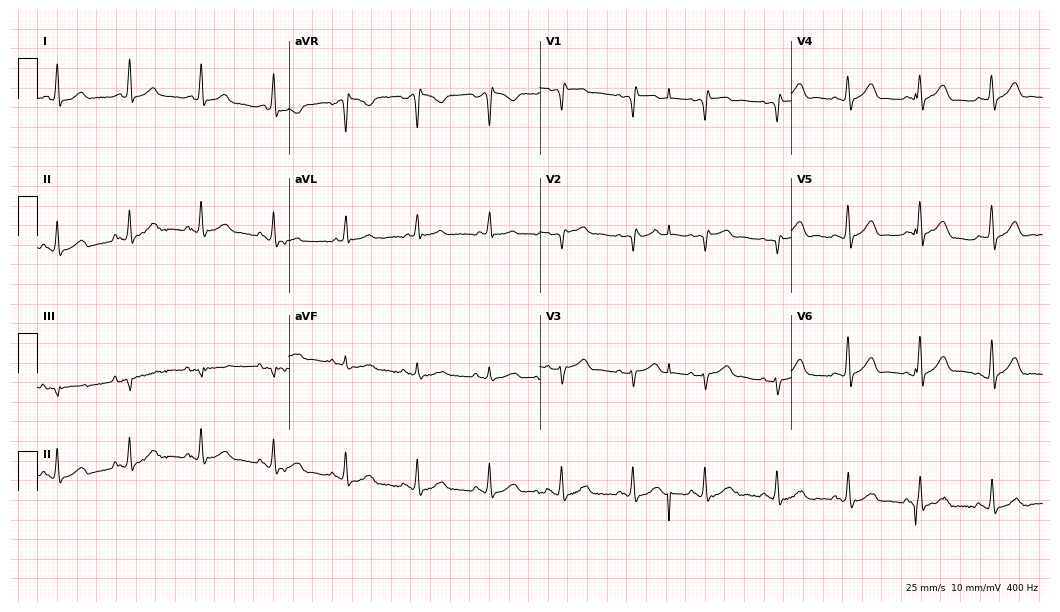
Standard 12-lead ECG recorded from a 53-year-old man (10.2-second recording at 400 Hz). None of these six findings is recorded: first-degree AV block, right bundle branch block (RBBB), left bundle branch block (LBBB), sinus bradycardia, atrial fibrillation (AF), sinus tachycardia.